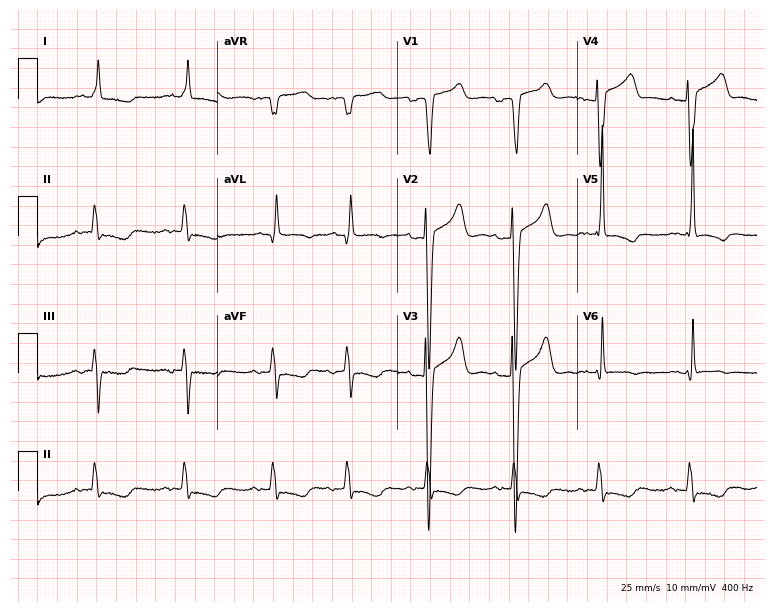
Standard 12-lead ECG recorded from an 84-year-old male patient (7.3-second recording at 400 Hz). None of these six findings is recorded: first-degree AV block, right bundle branch block (RBBB), left bundle branch block (LBBB), sinus bradycardia, atrial fibrillation (AF), sinus tachycardia. Other findings, if any, are not listed.